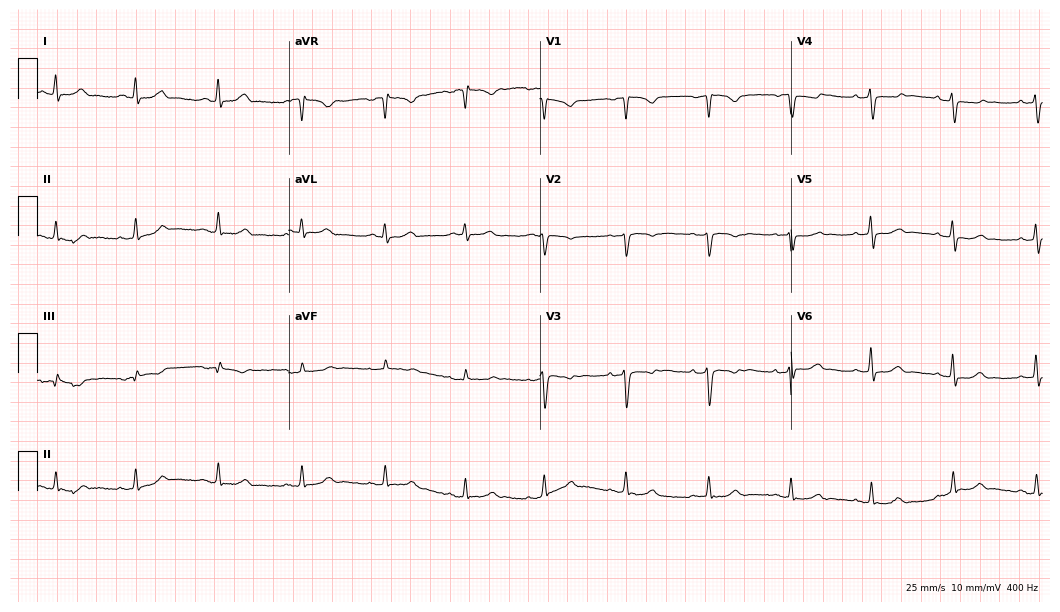
Standard 12-lead ECG recorded from a woman, 38 years old. None of these six findings is recorded: first-degree AV block, right bundle branch block, left bundle branch block, sinus bradycardia, atrial fibrillation, sinus tachycardia.